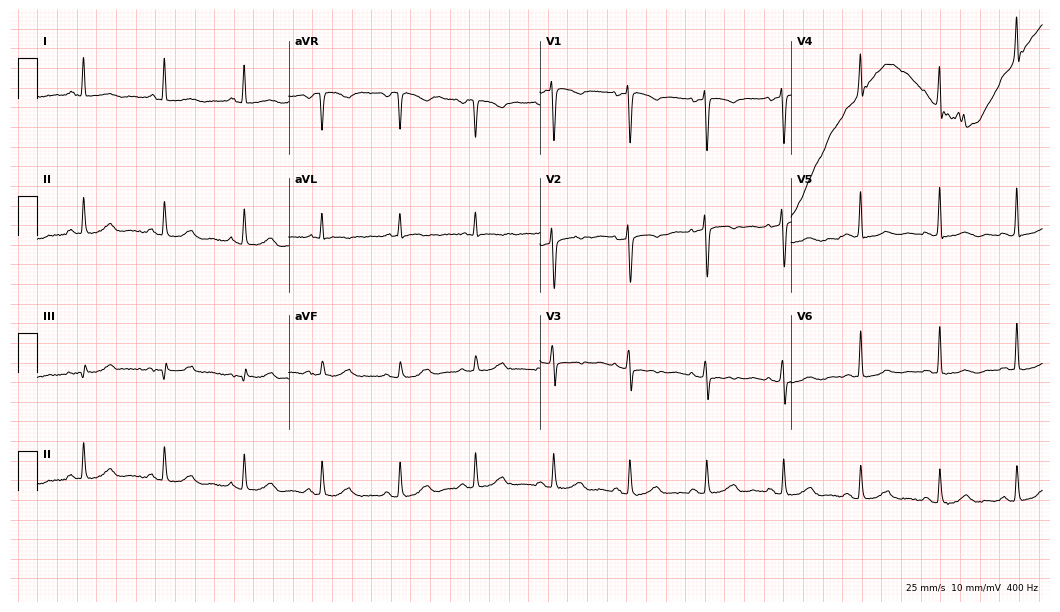
Electrocardiogram, a 53-year-old woman. Of the six screened findings (first-degree AV block, right bundle branch block, left bundle branch block, sinus bradycardia, atrial fibrillation, sinus tachycardia), none is recorded.